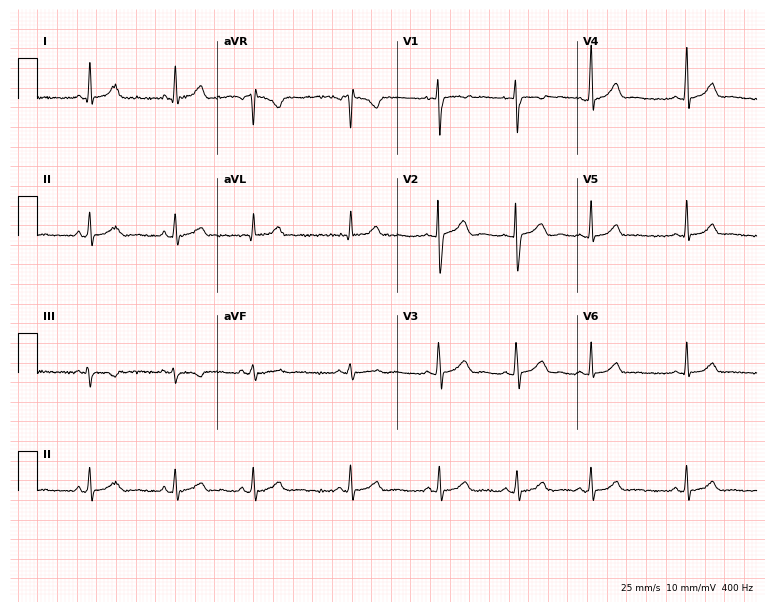
Electrocardiogram, a 19-year-old female patient. Overall reading on record: normal ECG.